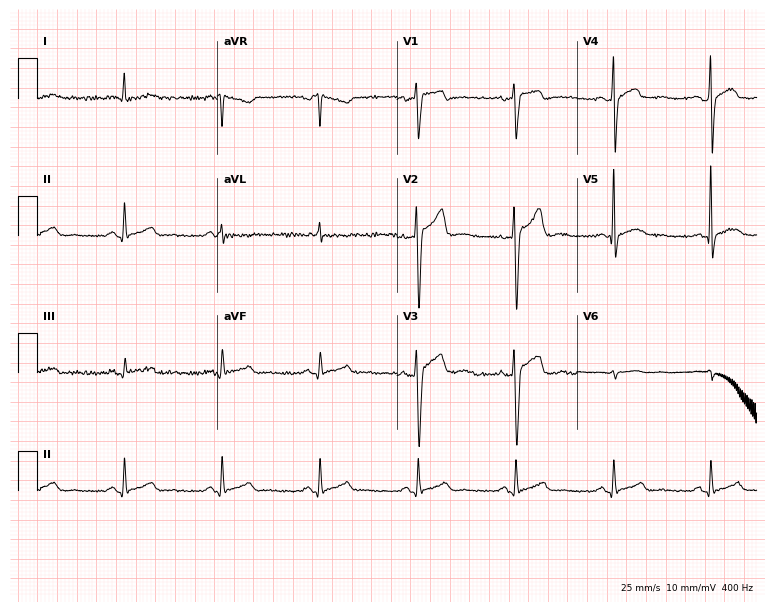
ECG (7.3-second recording at 400 Hz) — a male patient, 35 years old. Labelled as a normal ECG.